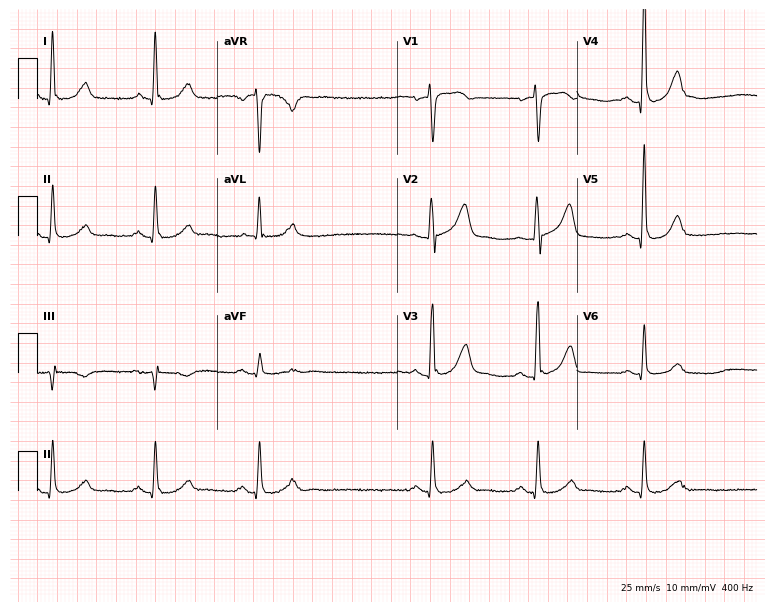
Electrocardiogram (7.3-second recording at 400 Hz), a man, 66 years old. Of the six screened findings (first-degree AV block, right bundle branch block, left bundle branch block, sinus bradycardia, atrial fibrillation, sinus tachycardia), none is recorded. Only these six findings were labelled.